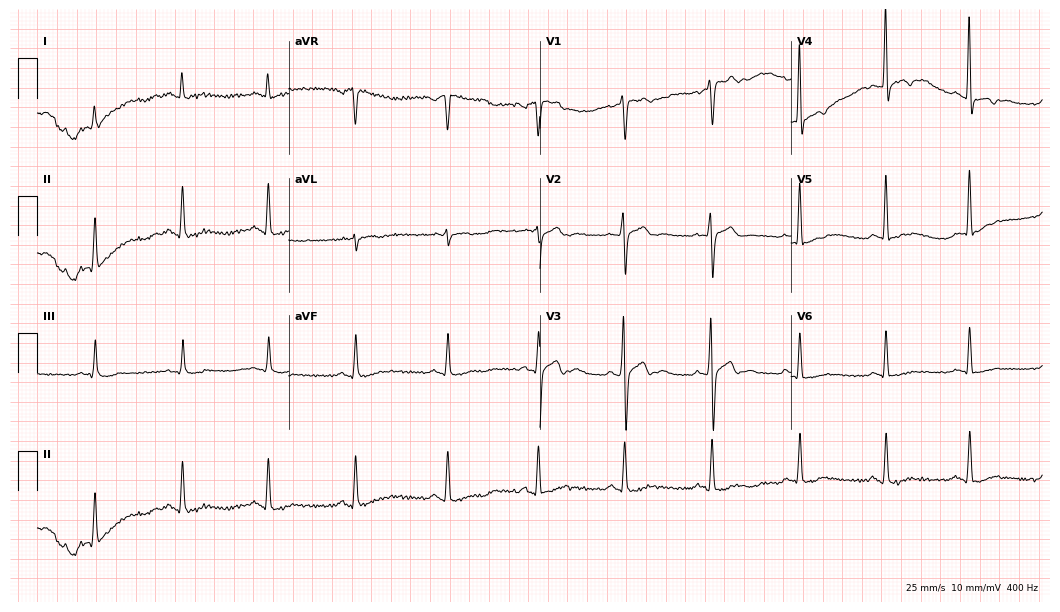
ECG (10.2-second recording at 400 Hz) — a 42-year-old male. Screened for six findings — first-degree AV block, right bundle branch block (RBBB), left bundle branch block (LBBB), sinus bradycardia, atrial fibrillation (AF), sinus tachycardia — none is recorded. Only these six findings were labelled.